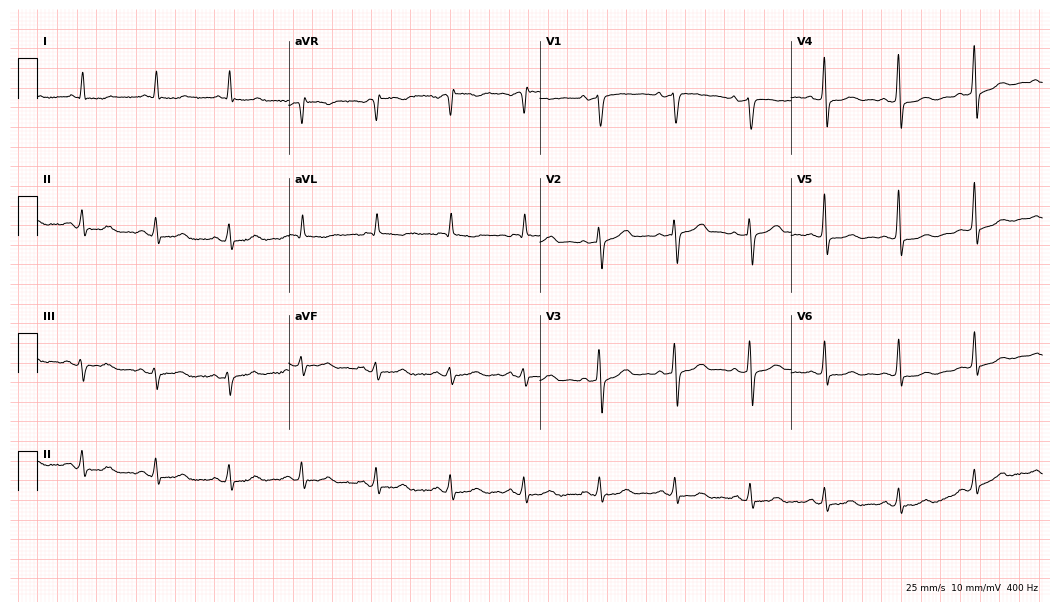
12-lead ECG from a female patient, 62 years old. No first-degree AV block, right bundle branch block, left bundle branch block, sinus bradycardia, atrial fibrillation or sinus tachycardia recorded for this tracing.